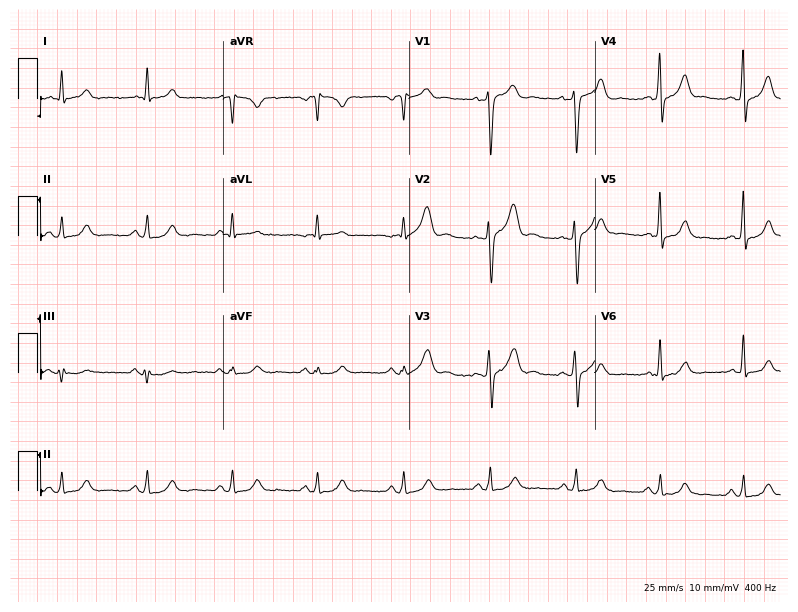
Electrocardiogram, a male patient, 52 years old. Of the six screened findings (first-degree AV block, right bundle branch block (RBBB), left bundle branch block (LBBB), sinus bradycardia, atrial fibrillation (AF), sinus tachycardia), none is recorded. Only these six findings were labelled.